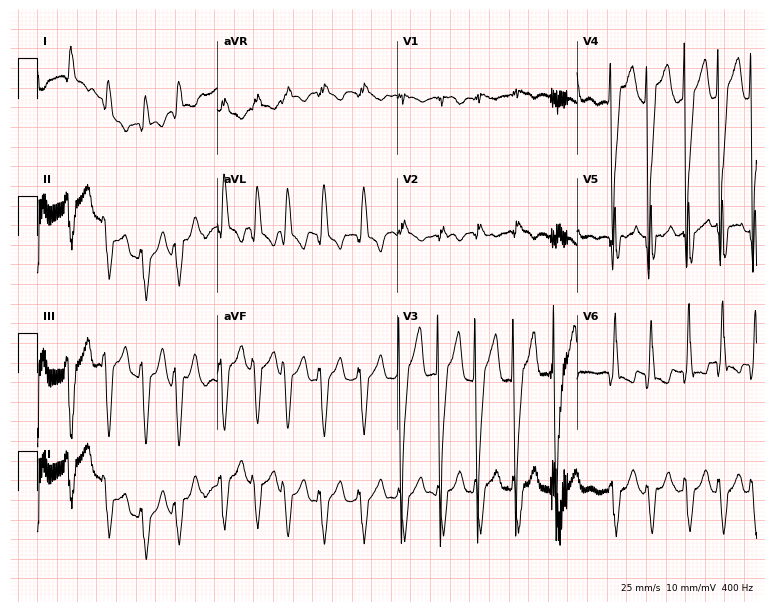
12-lead ECG (7.3-second recording at 400 Hz) from a 40-year-old male patient. Screened for six findings — first-degree AV block, right bundle branch block (RBBB), left bundle branch block (LBBB), sinus bradycardia, atrial fibrillation (AF), sinus tachycardia — none is recorded. Only these six findings were labelled.